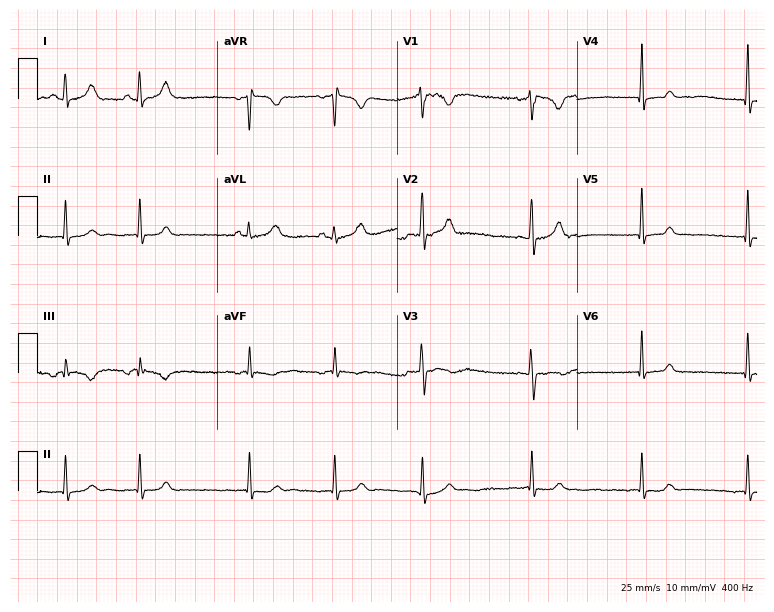
Standard 12-lead ECG recorded from a female patient, 18 years old (7.3-second recording at 400 Hz). None of these six findings is recorded: first-degree AV block, right bundle branch block, left bundle branch block, sinus bradycardia, atrial fibrillation, sinus tachycardia.